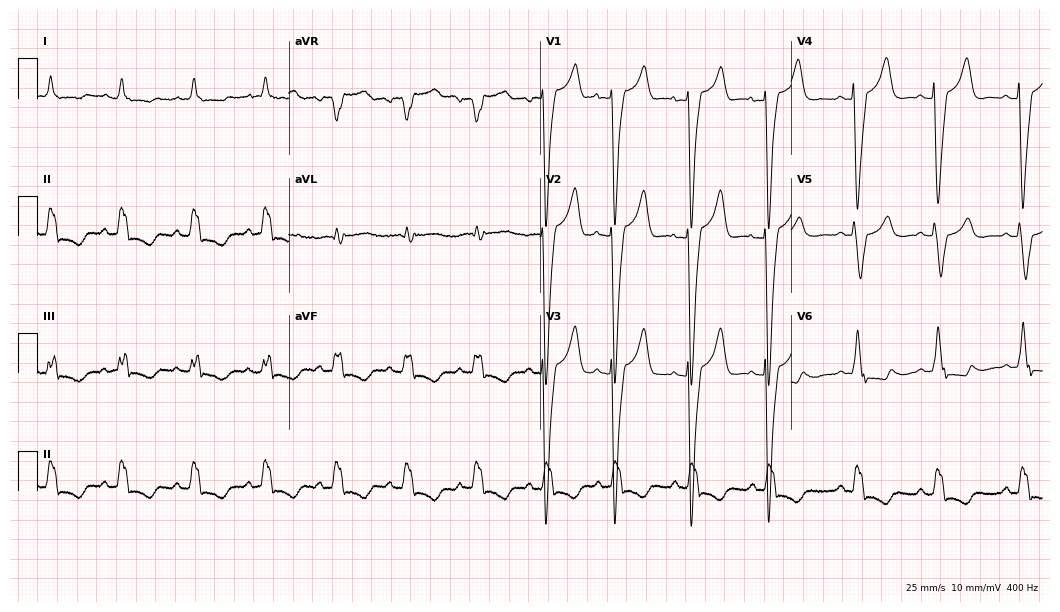
Resting 12-lead electrocardiogram. Patient: an 81-year-old woman. The tracing shows left bundle branch block.